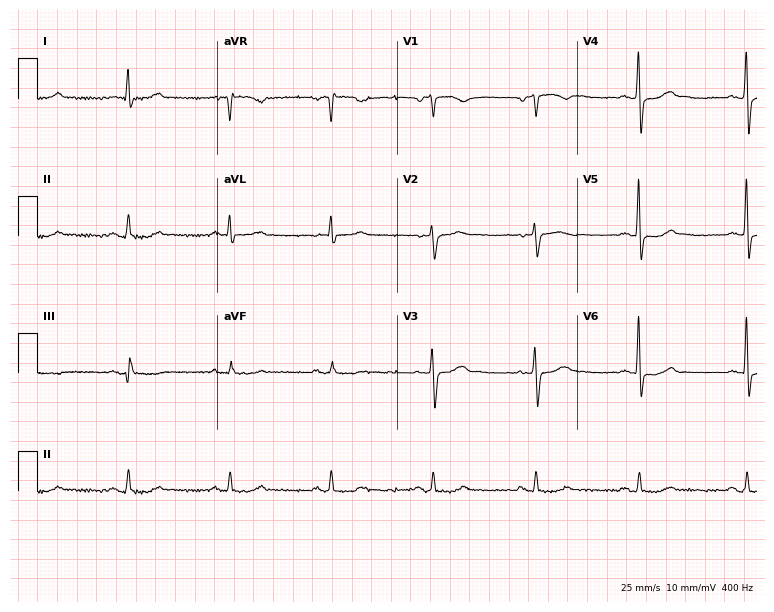
Electrocardiogram (7.3-second recording at 400 Hz), a 65-year-old male. Of the six screened findings (first-degree AV block, right bundle branch block, left bundle branch block, sinus bradycardia, atrial fibrillation, sinus tachycardia), none is recorded. Only these six findings were labelled.